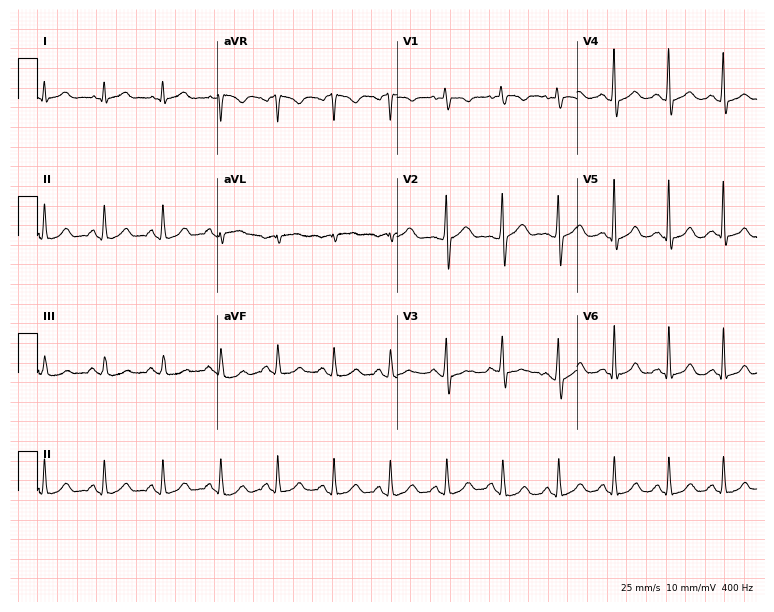
Resting 12-lead electrocardiogram. Patient: a 40-year-old female. None of these six findings is recorded: first-degree AV block, right bundle branch block, left bundle branch block, sinus bradycardia, atrial fibrillation, sinus tachycardia. Other findings, if any, are not listed.